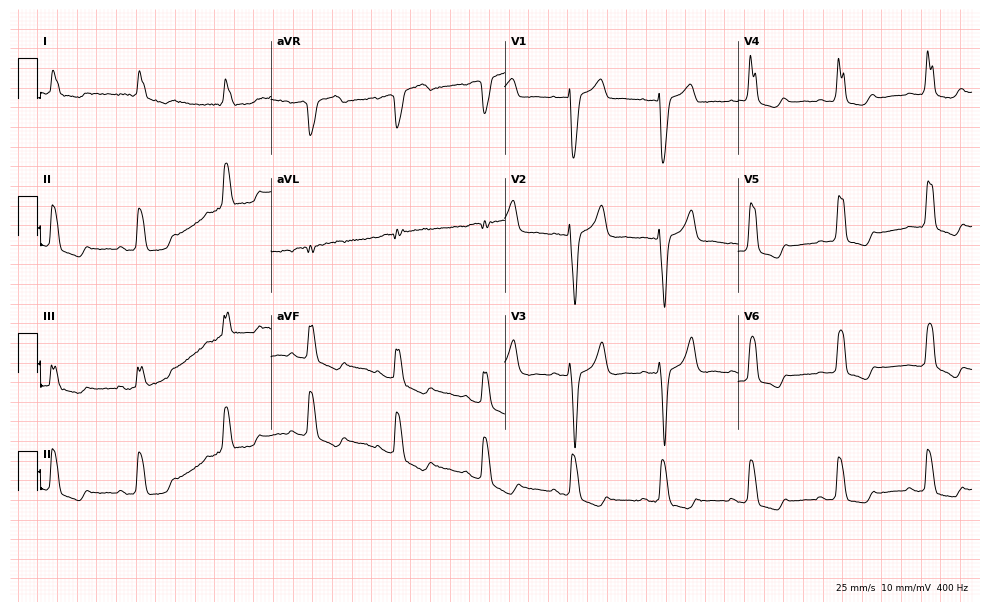
Resting 12-lead electrocardiogram (9.5-second recording at 400 Hz). Patient: a female, 84 years old. The tracing shows left bundle branch block (LBBB).